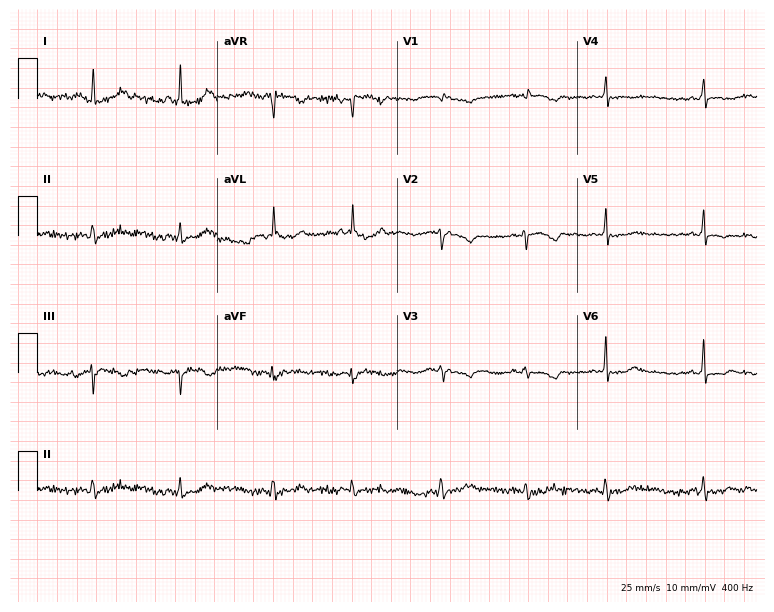
Resting 12-lead electrocardiogram (7.3-second recording at 400 Hz). Patient: a 22-year-old woman. Read as a normal ECG.